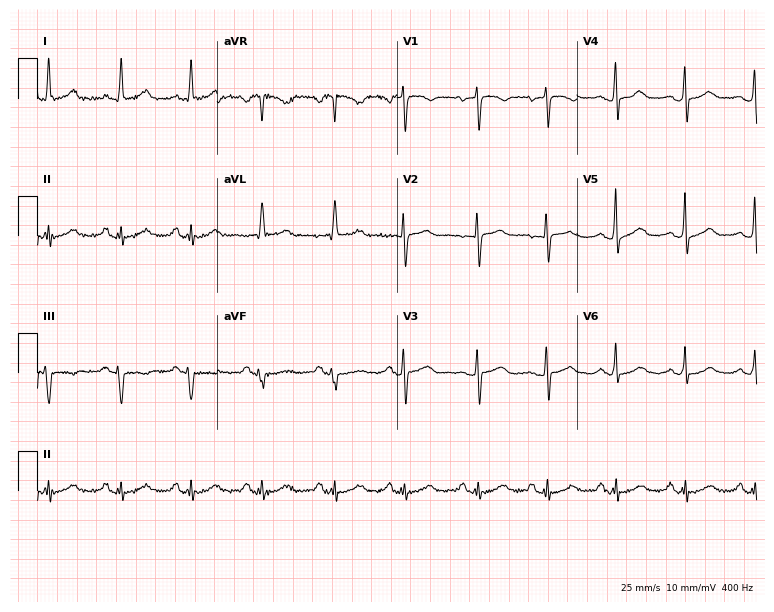
Standard 12-lead ECG recorded from a female, 61 years old. None of these six findings is recorded: first-degree AV block, right bundle branch block, left bundle branch block, sinus bradycardia, atrial fibrillation, sinus tachycardia. Other findings, if any, are not listed.